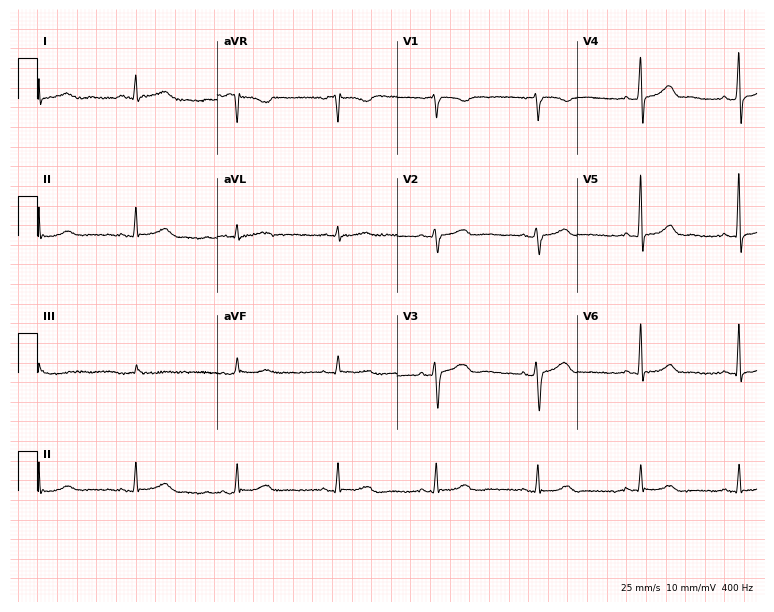
12-lead ECG from a 57-year-old female. Recorded interpretation: within normal limits.